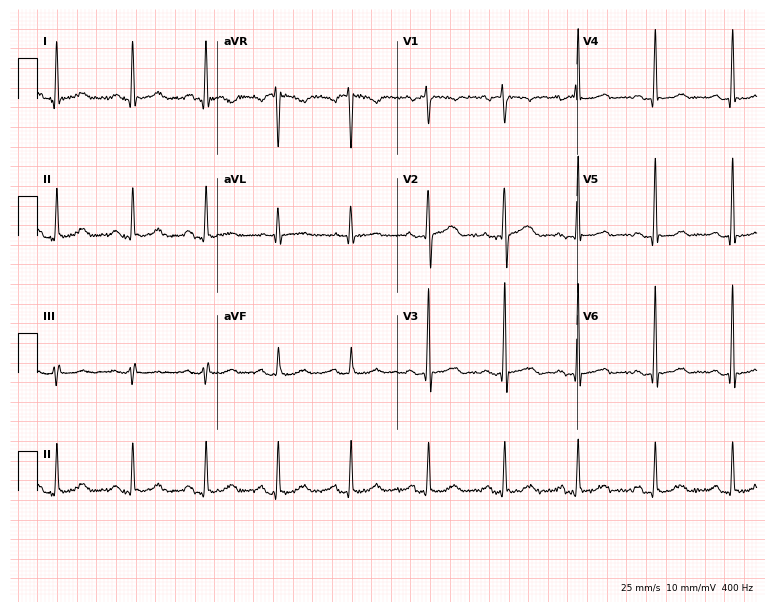
ECG (7.3-second recording at 400 Hz) — a female patient, 53 years old. Labelled as a normal ECG.